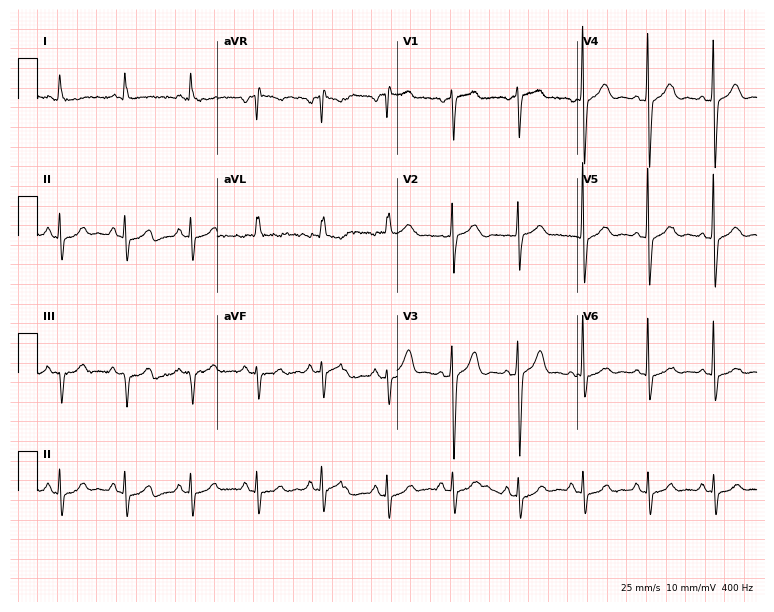
Electrocardiogram, an 82-year-old man. Of the six screened findings (first-degree AV block, right bundle branch block (RBBB), left bundle branch block (LBBB), sinus bradycardia, atrial fibrillation (AF), sinus tachycardia), none is recorded. Only these six findings were labelled.